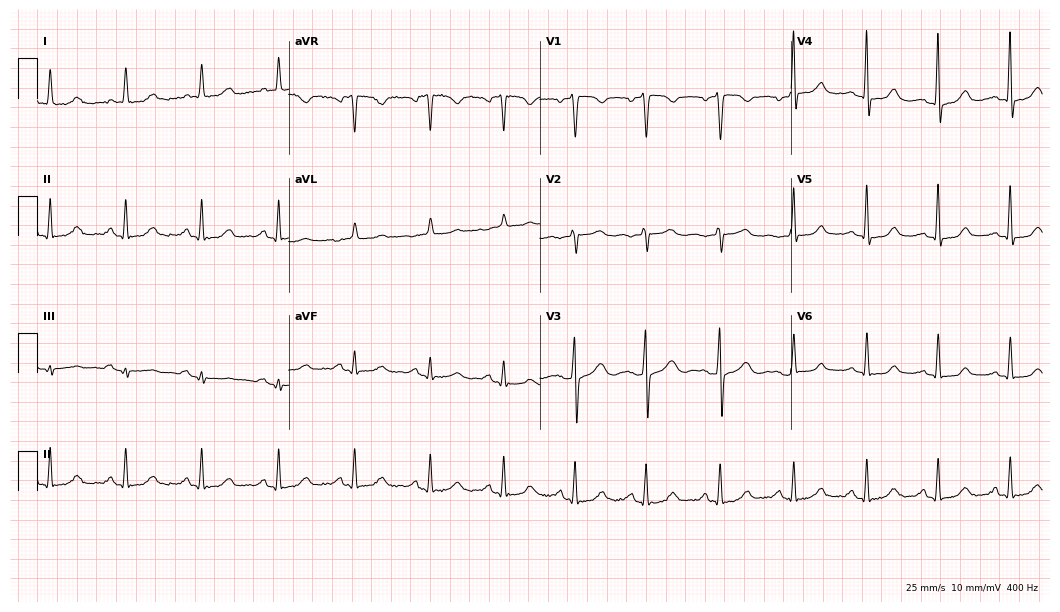
Standard 12-lead ECG recorded from a woman, 43 years old (10.2-second recording at 400 Hz). None of these six findings is recorded: first-degree AV block, right bundle branch block, left bundle branch block, sinus bradycardia, atrial fibrillation, sinus tachycardia. Findings outside these six are not listed.